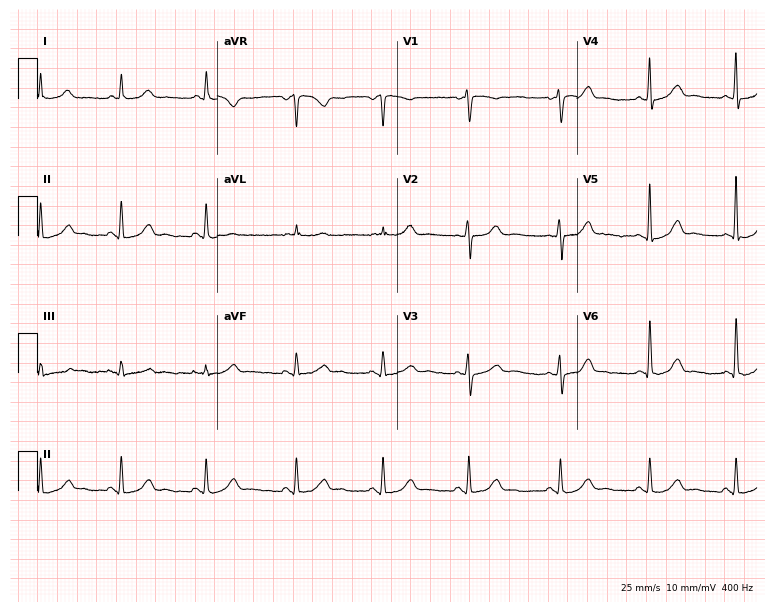
ECG (7.3-second recording at 400 Hz) — a woman, 37 years old. Labelled as a normal ECG.